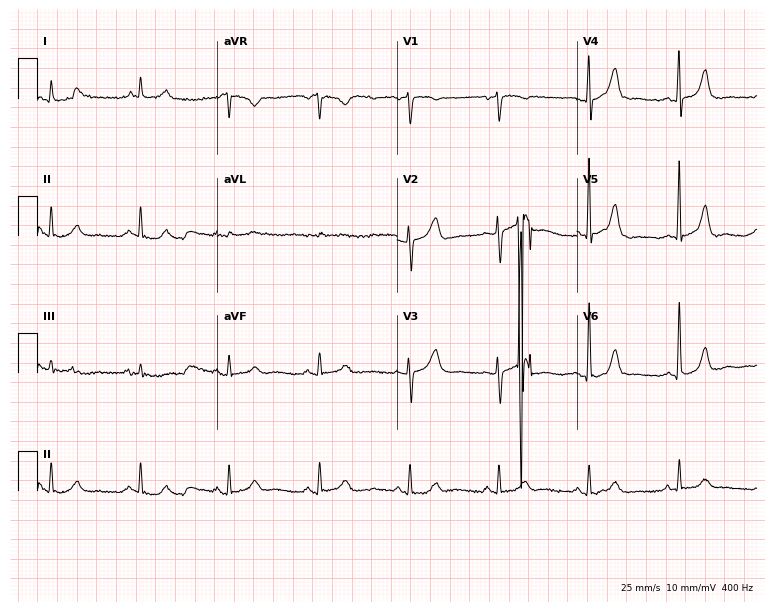
12-lead ECG from a man, 68 years old. No first-degree AV block, right bundle branch block (RBBB), left bundle branch block (LBBB), sinus bradycardia, atrial fibrillation (AF) or sinus tachycardia recorded for this tracing. Only these six findings were labelled.